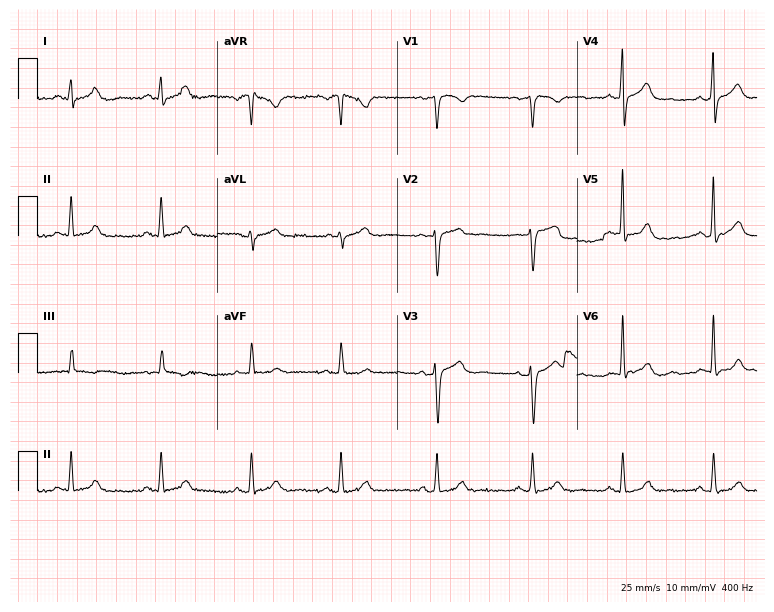
12-lead ECG from a 37-year-old female patient. Recorded interpretation: within normal limits.